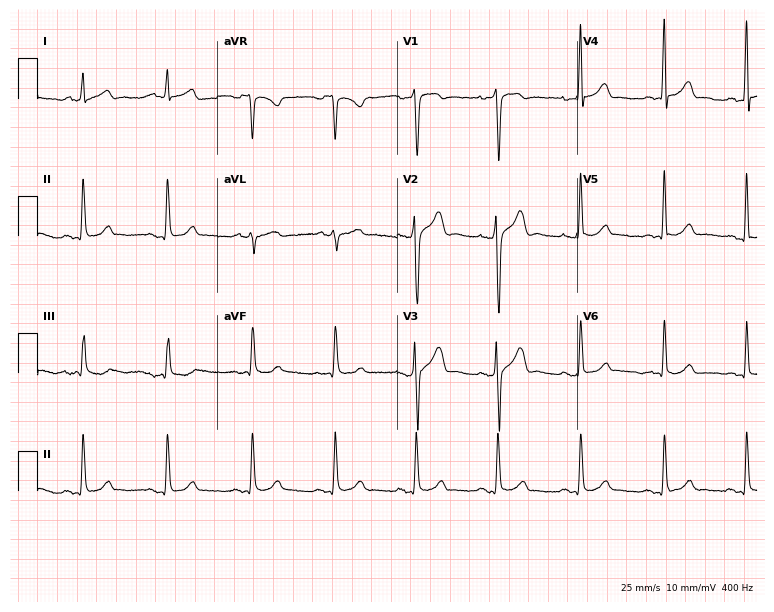
12-lead ECG from a 27-year-old male patient (7.3-second recording at 400 Hz). Recorded interpretation: within normal limits.